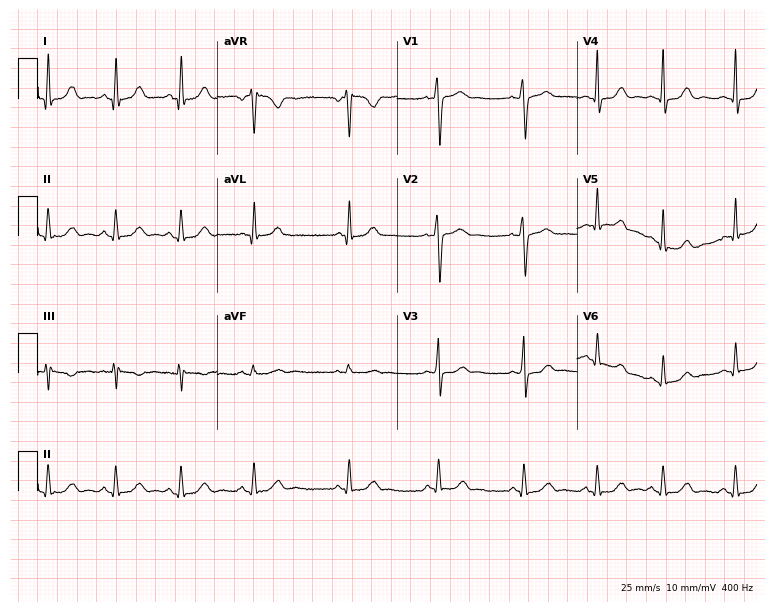
Standard 12-lead ECG recorded from a woman, 31 years old (7.3-second recording at 400 Hz). None of these six findings is recorded: first-degree AV block, right bundle branch block, left bundle branch block, sinus bradycardia, atrial fibrillation, sinus tachycardia.